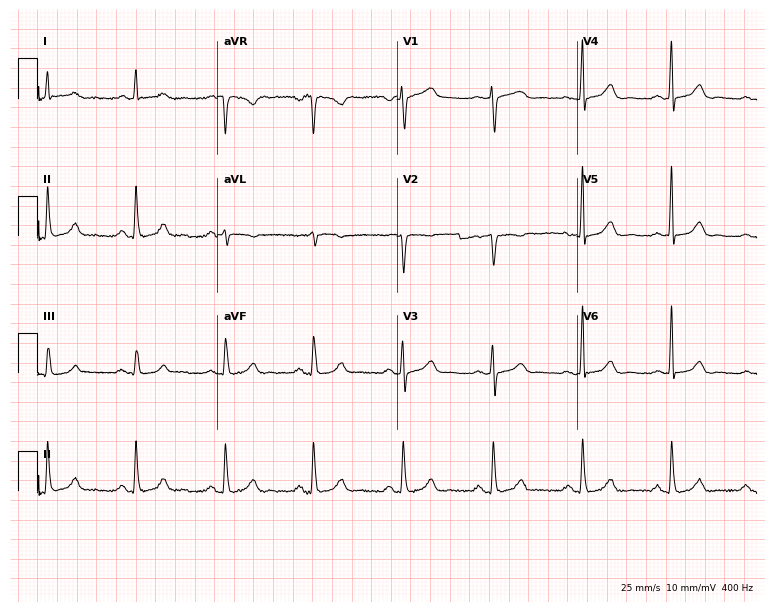
ECG (7.3-second recording at 400 Hz) — a female, 54 years old. Labelled as a normal ECG.